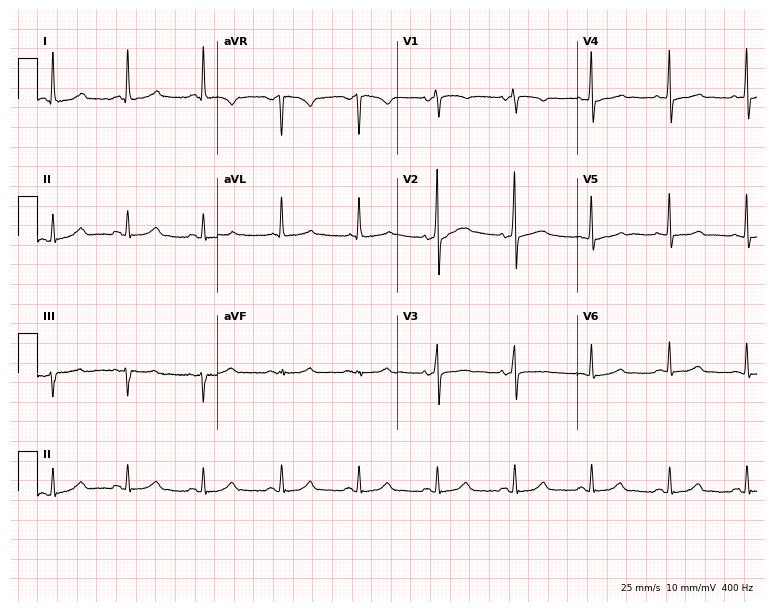
Resting 12-lead electrocardiogram (7.3-second recording at 400 Hz). Patient: a female, 66 years old. Read as a normal ECG.